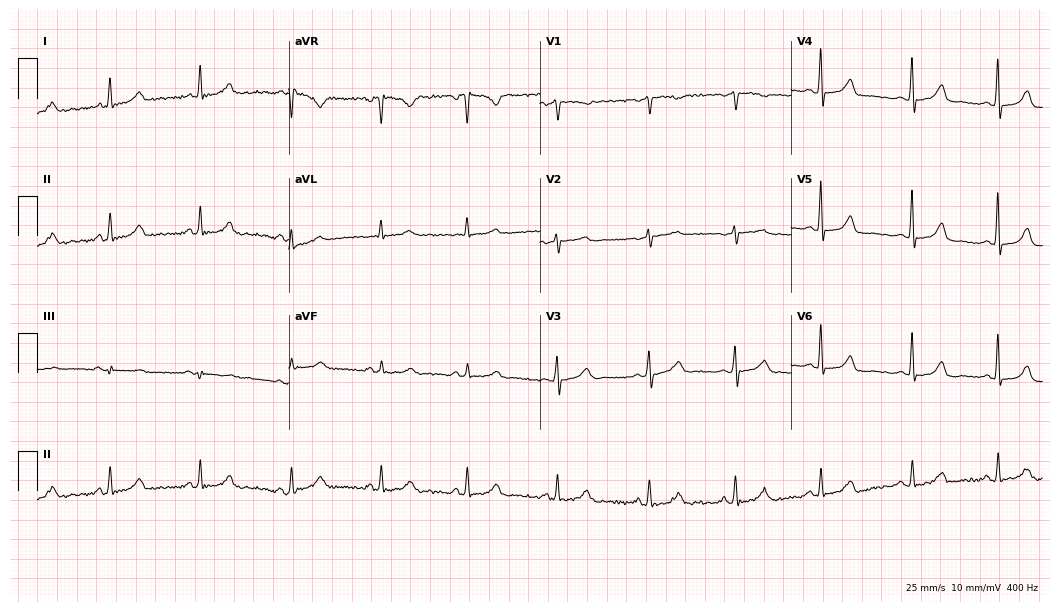
ECG — a 58-year-old female. Labelled as a normal ECG.